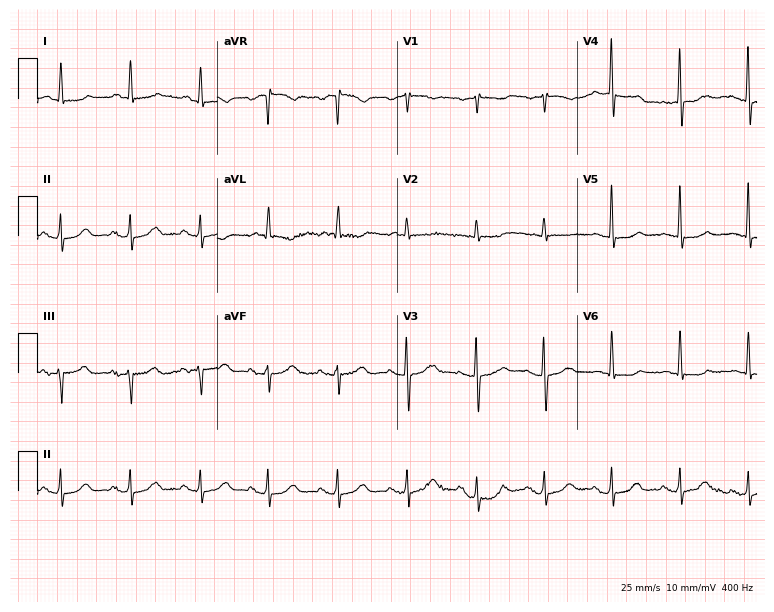
12-lead ECG from a female, 78 years old. No first-degree AV block, right bundle branch block (RBBB), left bundle branch block (LBBB), sinus bradycardia, atrial fibrillation (AF) or sinus tachycardia recorded for this tracing.